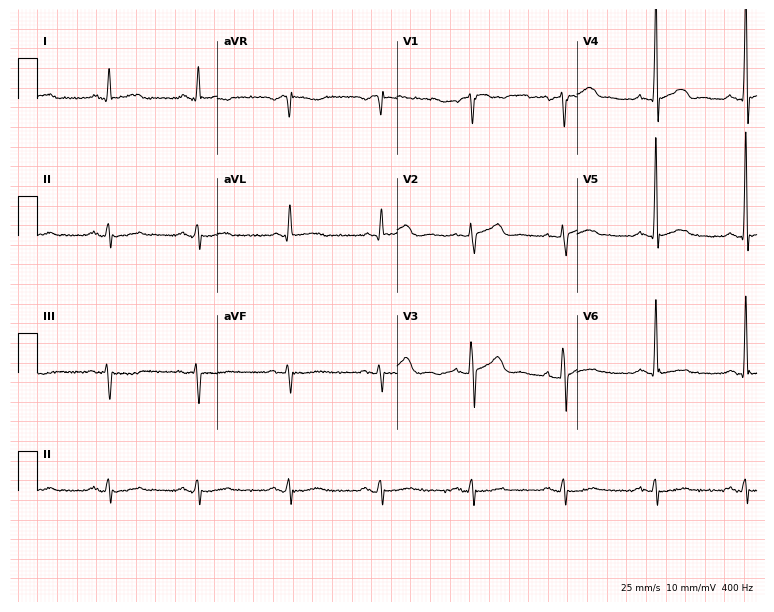
12-lead ECG from a 53-year-old male patient (7.3-second recording at 400 Hz). Recorded interpretation: within normal limits.